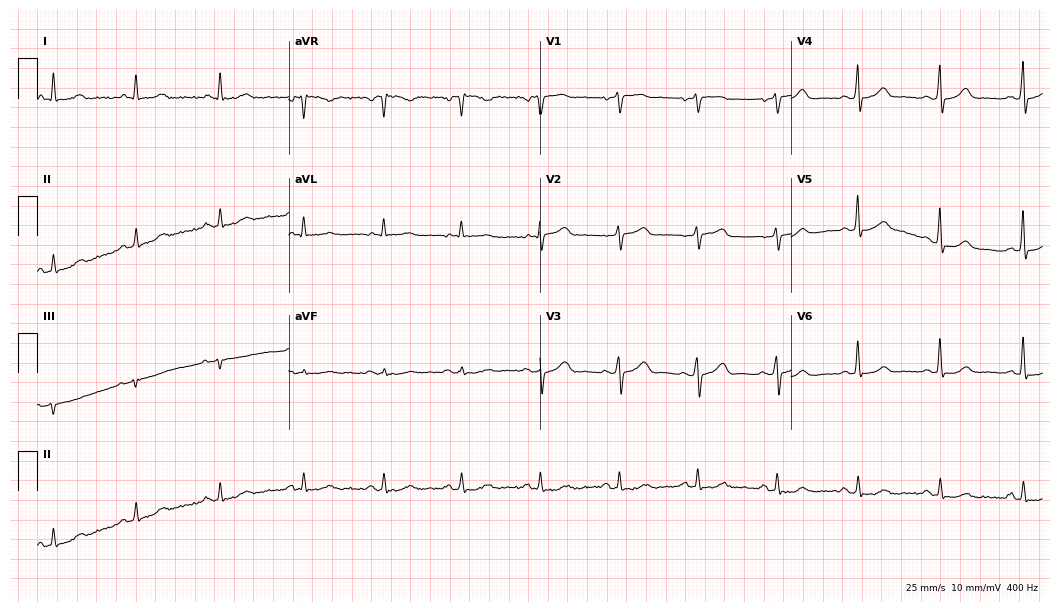
Standard 12-lead ECG recorded from a 70-year-old female patient. None of these six findings is recorded: first-degree AV block, right bundle branch block, left bundle branch block, sinus bradycardia, atrial fibrillation, sinus tachycardia. Findings outside these six are not listed.